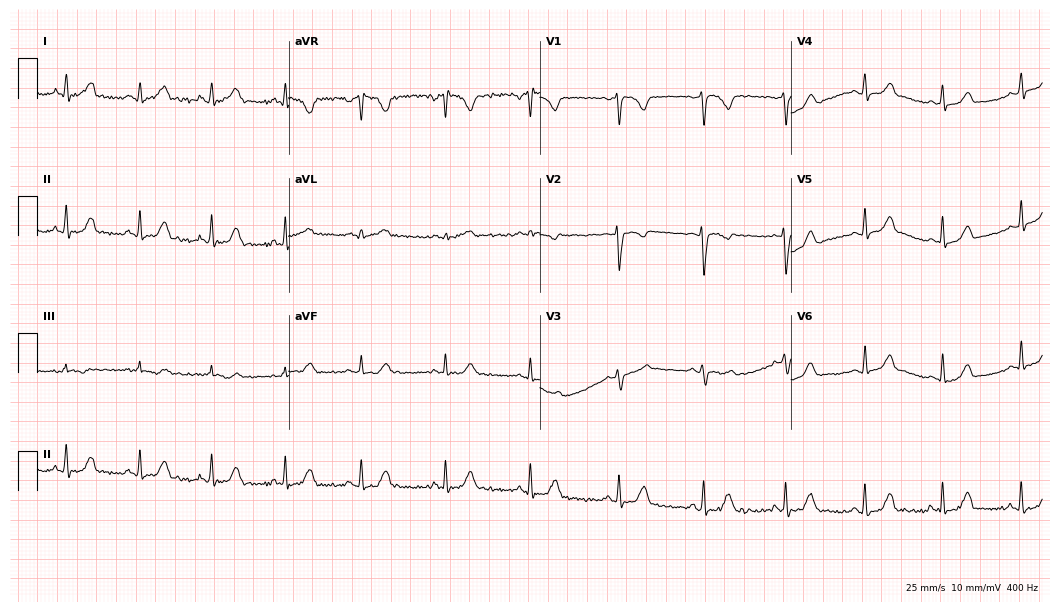
12-lead ECG from a 24-year-old female. No first-degree AV block, right bundle branch block (RBBB), left bundle branch block (LBBB), sinus bradycardia, atrial fibrillation (AF) or sinus tachycardia recorded for this tracing. Other findings, if any, are not listed.